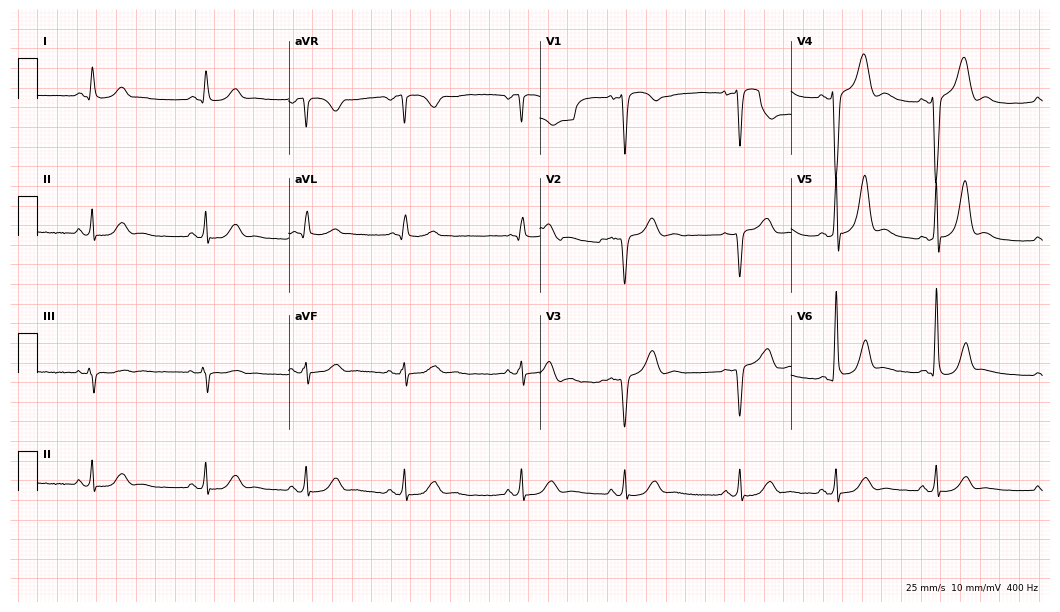
Electrocardiogram (10.2-second recording at 400 Hz), a male patient, 55 years old. Overall reading on record: normal ECG.